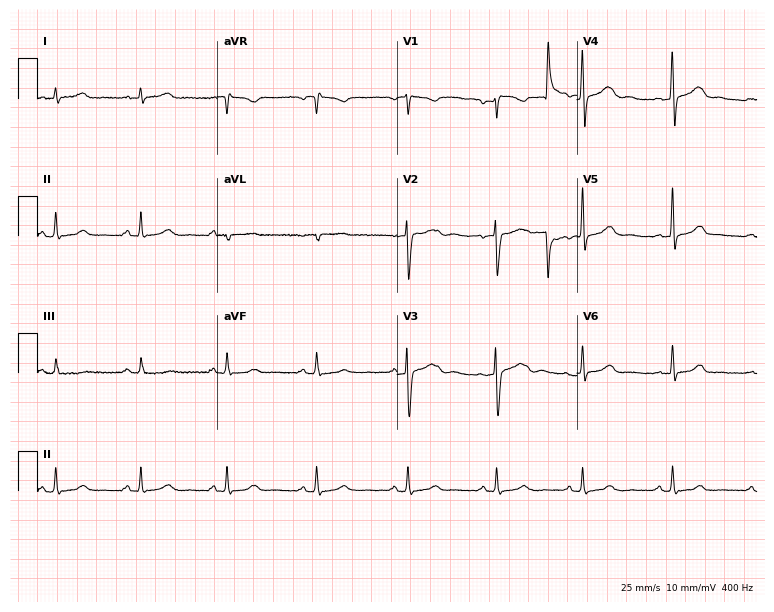
12-lead ECG from a 41-year-old woman (7.3-second recording at 400 Hz). Recorded interpretation: within normal limits.